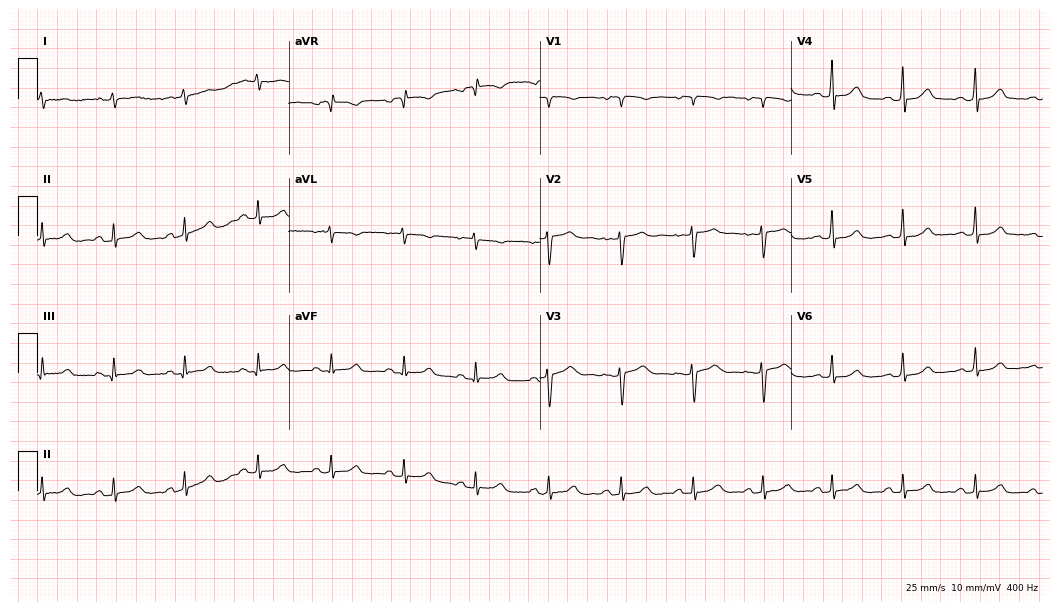
12-lead ECG from a 33-year-old woman (10.2-second recording at 400 Hz). No first-degree AV block, right bundle branch block, left bundle branch block, sinus bradycardia, atrial fibrillation or sinus tachycardia recorded for this tracing. Only these six findings were labelled.